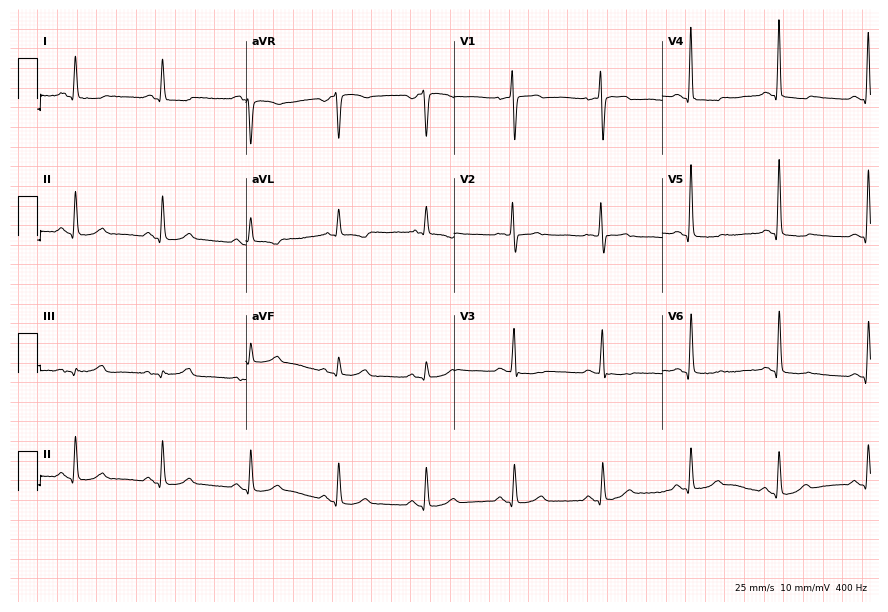
Standard 12-lead ECG recorded from a female patient, 60 years old. Read as a normal ECG.